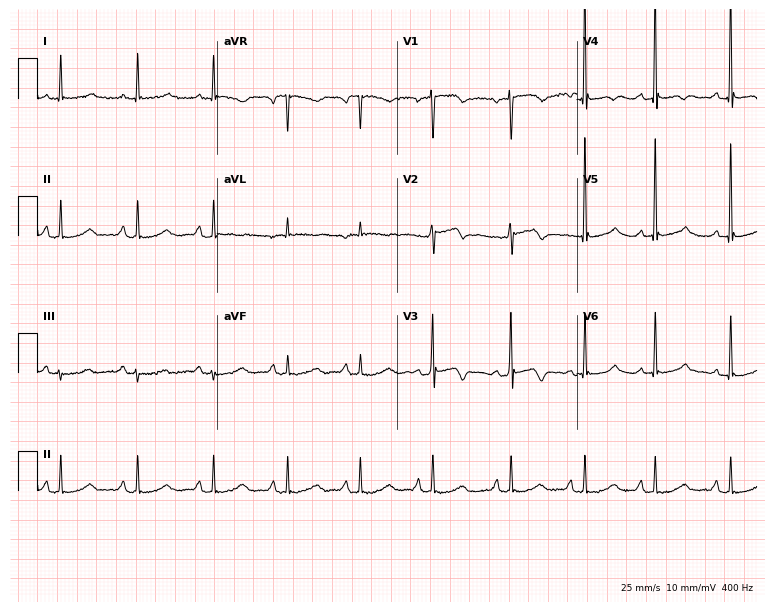
ECG (7.3-second recording at 400 Hz) — a female, 70 years old. Screened for six findings — first-degree AV block, right bundle branch block, left bundle branch block, sinus bradycardia, atrial fibrillation, sinus tachycardia — none is recorded. Findings outside these six are not listed.